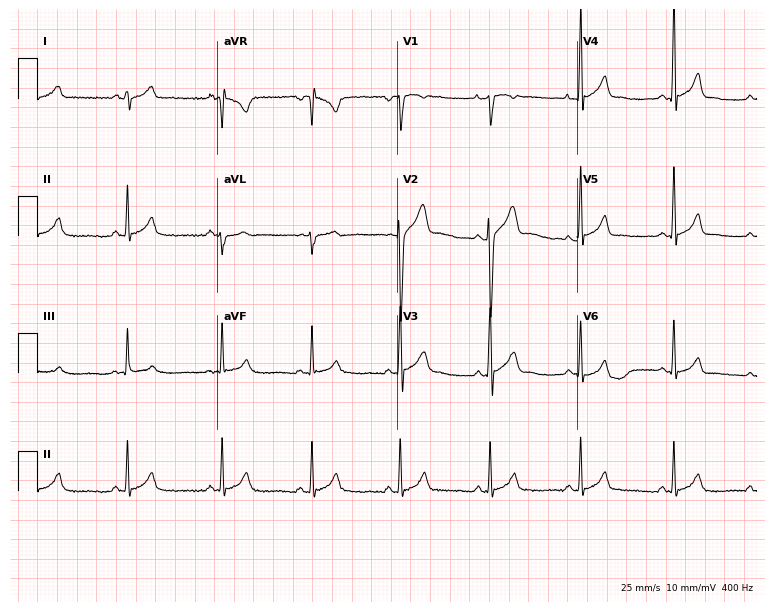
12-lead ECG from an 18-year-old man. Screened for six findings — first-degree AV block, right bundle branch block, left bundle branch block, sinus bradycardia, atrial fibrillation, sinus tachycardia — none is recorded.